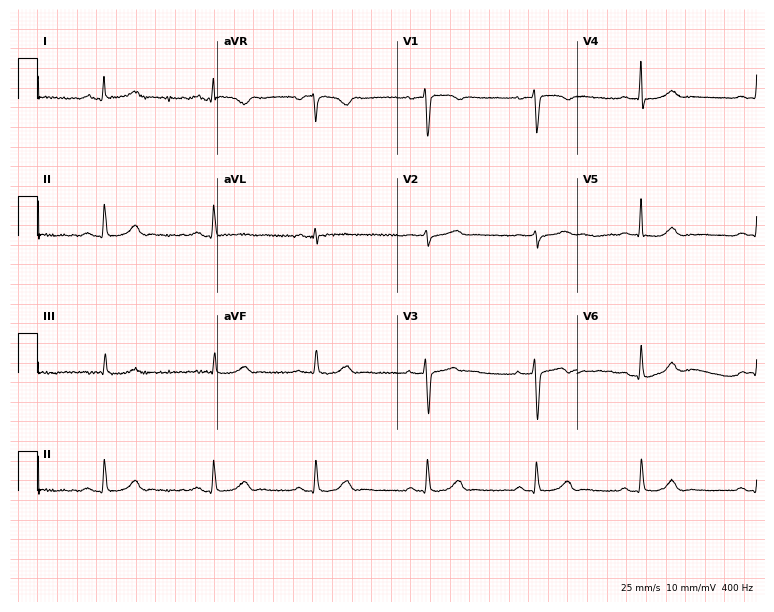
Resting 12-lead electrocardiogram. Patient: a 33-year-old female. Read as a normal ECG.